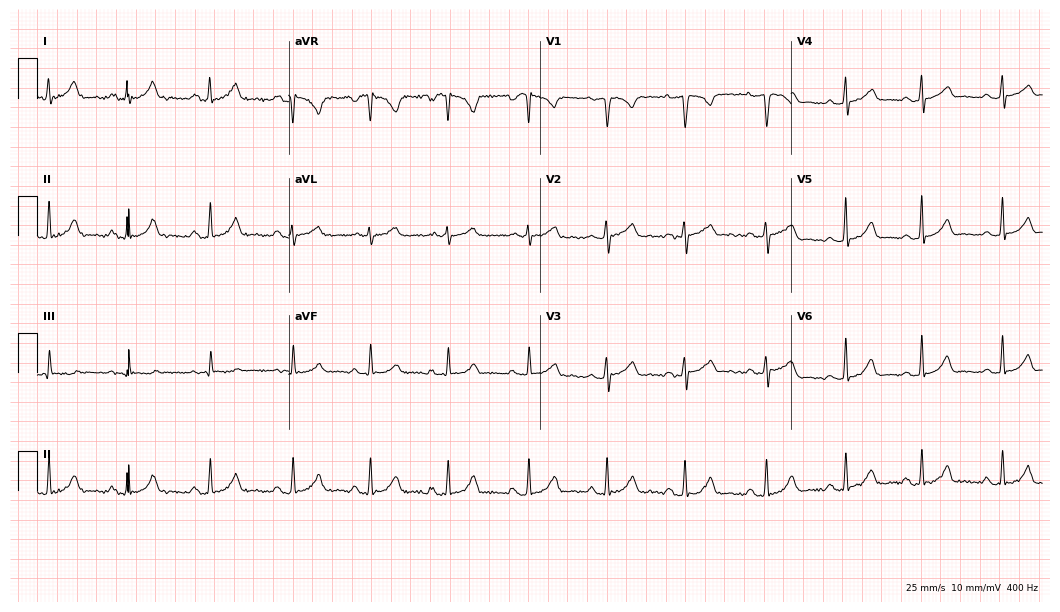
12-lead ECG (10.2-second recording at 400 Hz) from a 24-year-old woman. Labelled as a normal ECG.